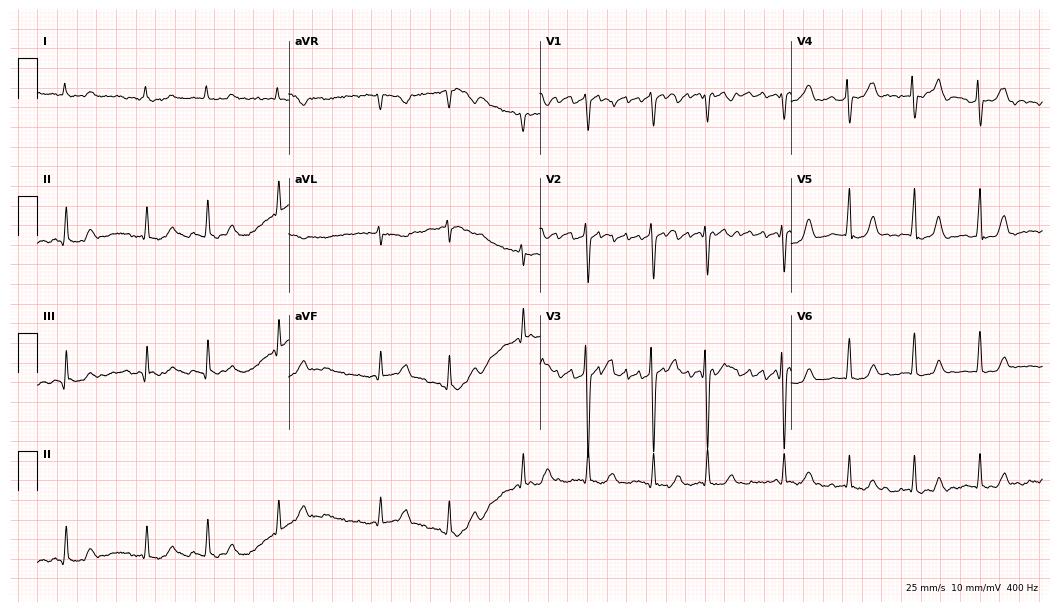
ECG — a 70-year-old woman. Screened for six findings — first-degree AV block, right bundle branch block, left bundle branch block, sinus bradycardia, atrial fibrillation, sinus tachycardia — none is recorded.